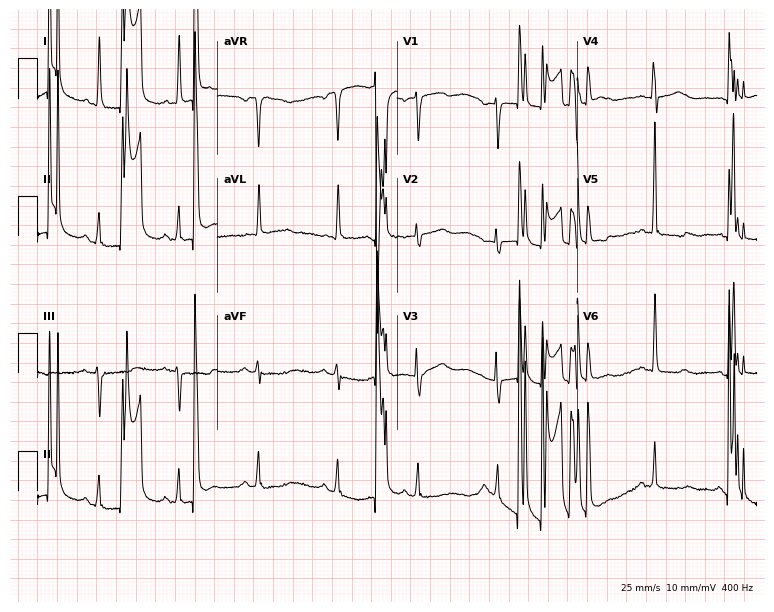
12-lead ECG from a 73-year-old female patient. No first-degree AV block, right bundle branch block (RBBB), left bundle branch block (LBBB), sinus bradycardia, atrial fibrillation (AF) or sinus tachycardia recorded for this tracing. Findings outside these six are not listed.